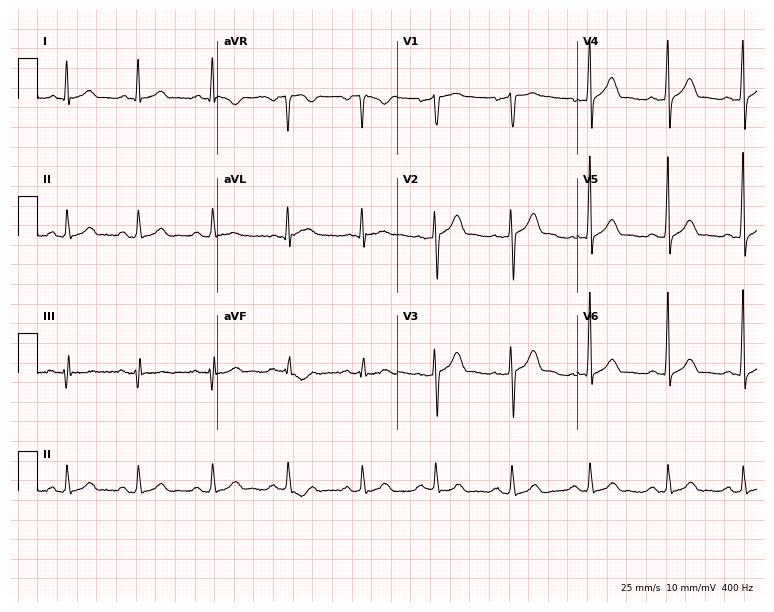
Resting 12-lead electrocardiogram (7.3-second recording at 400 Hz). Patient: a male, 54 years old. Read as a normal ECG.